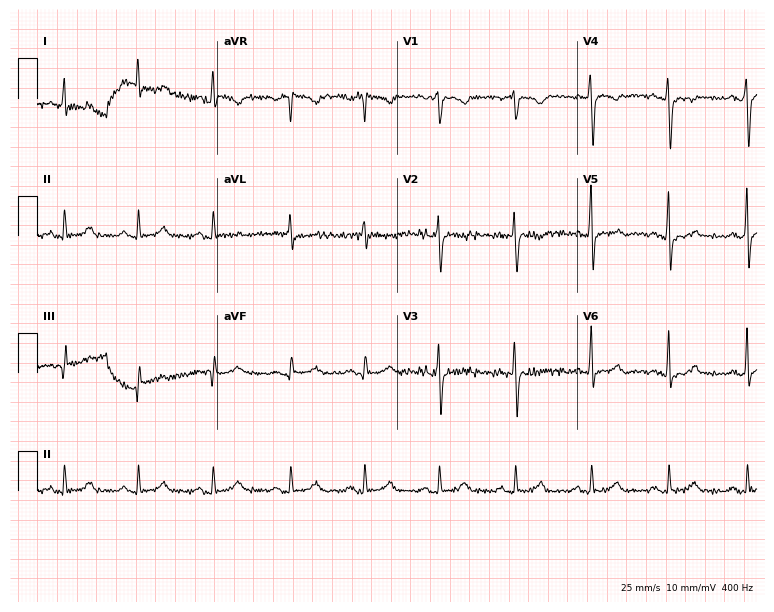
Electrocardiogram, a 40-year-old female. Overall reading on record: normal ECG.